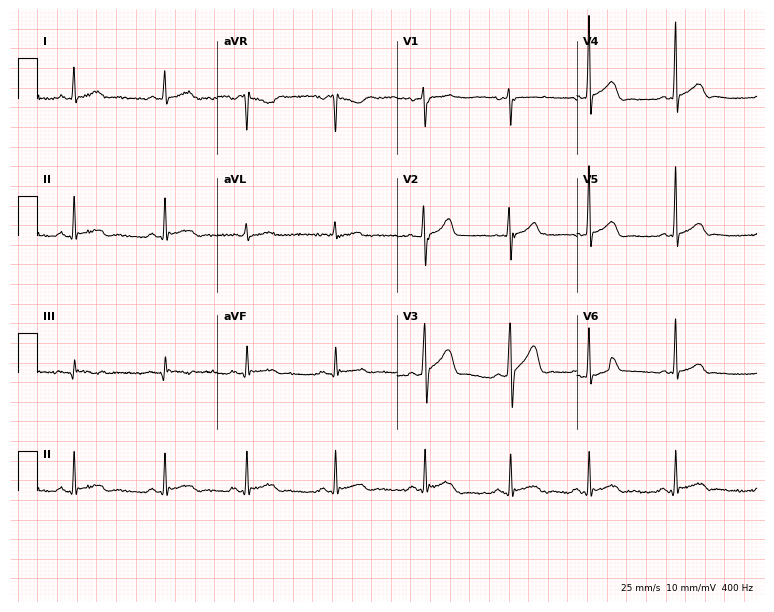
Standard 12-lead ECG recorded from a 30-year-old male patient (7.3-second recording at 400 Hz). Read as a normal ECG.